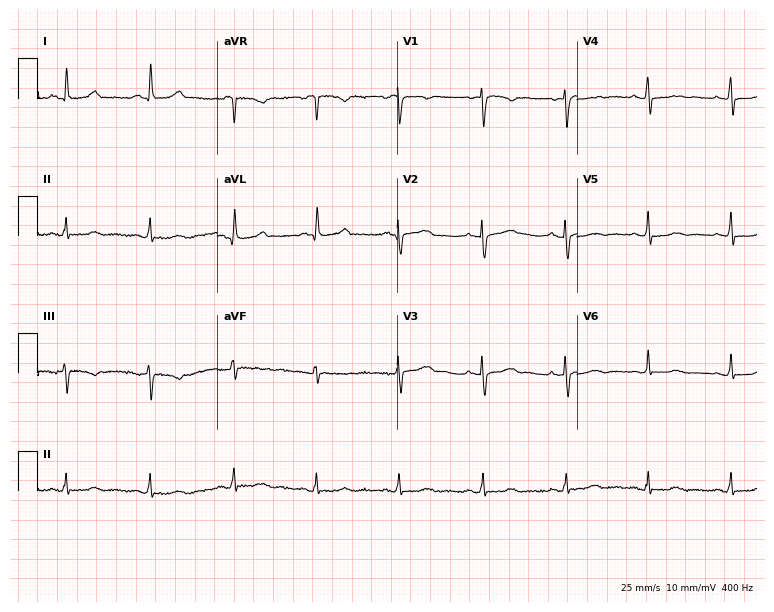
12-lead ECG (7.3-second recording at 400 Hz) from a female, 48 years old. Screened for six findings — first-degree AV block, right bundle branch block, left bundle branch block, sinus bradycardia, atrial fibrillation, sinus tachycardia — none is recorded.